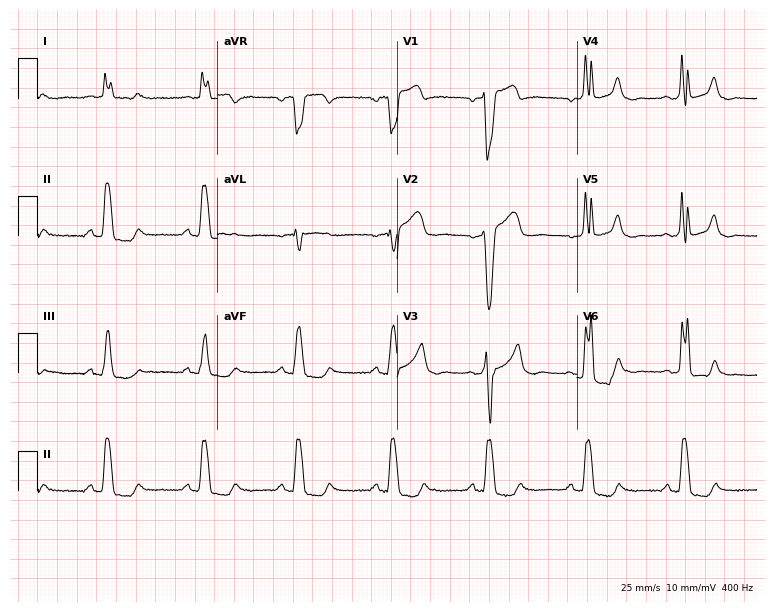
Resting 12-lead electrocardiogram. Patient: a 74-year-old male. The tracing shows left bundle branch block.